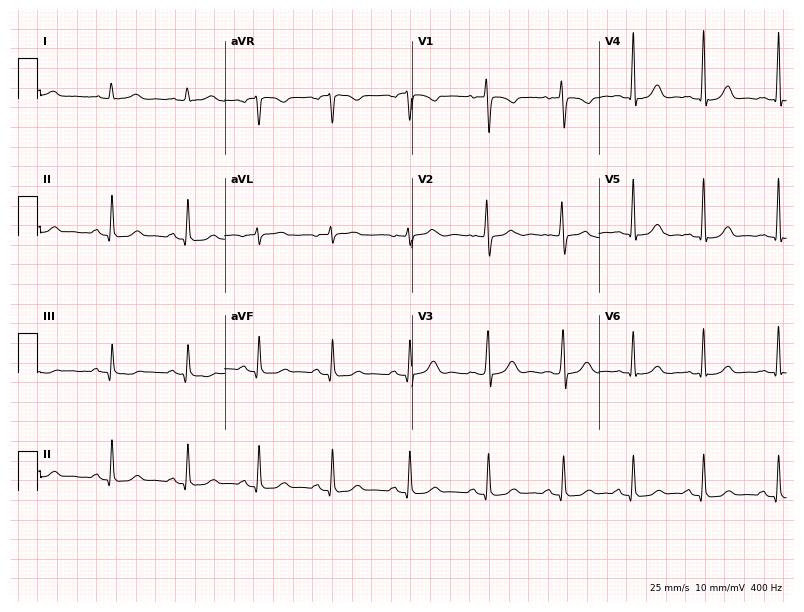
ECG (7.6-second recording at 400 Hz) — a woman, 29 years old. Screened for six findings — first-degree AV block, right bundle branch block (RBBB), left bundle branch block (LBBB), sinus bradycardia, atrial fibrillation (AF), sinus tachycardia — none is recorded. Findings outside these six are not listed.